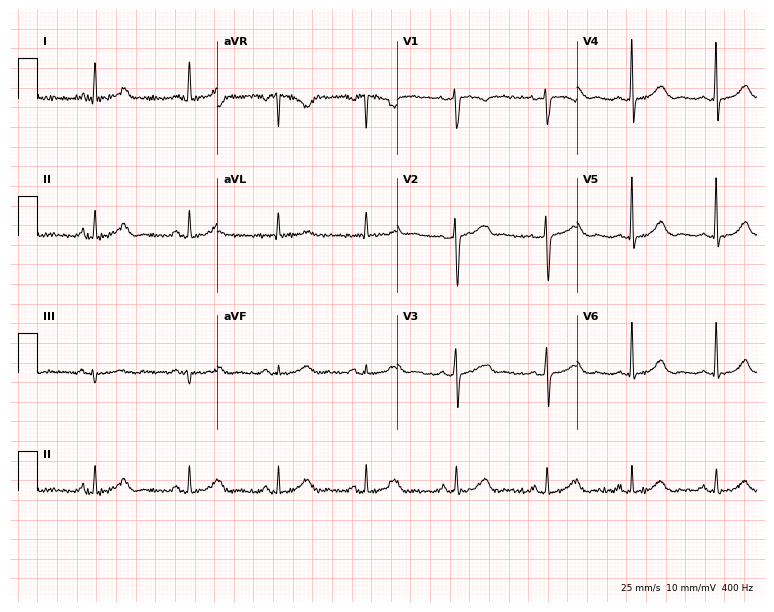
Standard 12-lead ECG recorded from a 38-year-old female patient (7.3-second recording at 400 Hz). Read as a normal ECG.